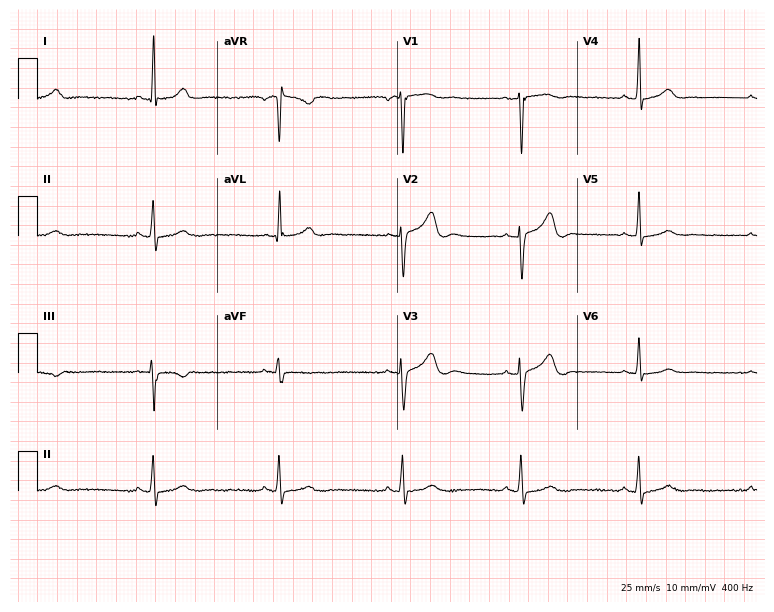
Electrocardiogram, a 45-year-old female. Interpretation includes sinus bradycardia (a sinus rate of 50 beats per minute or less).